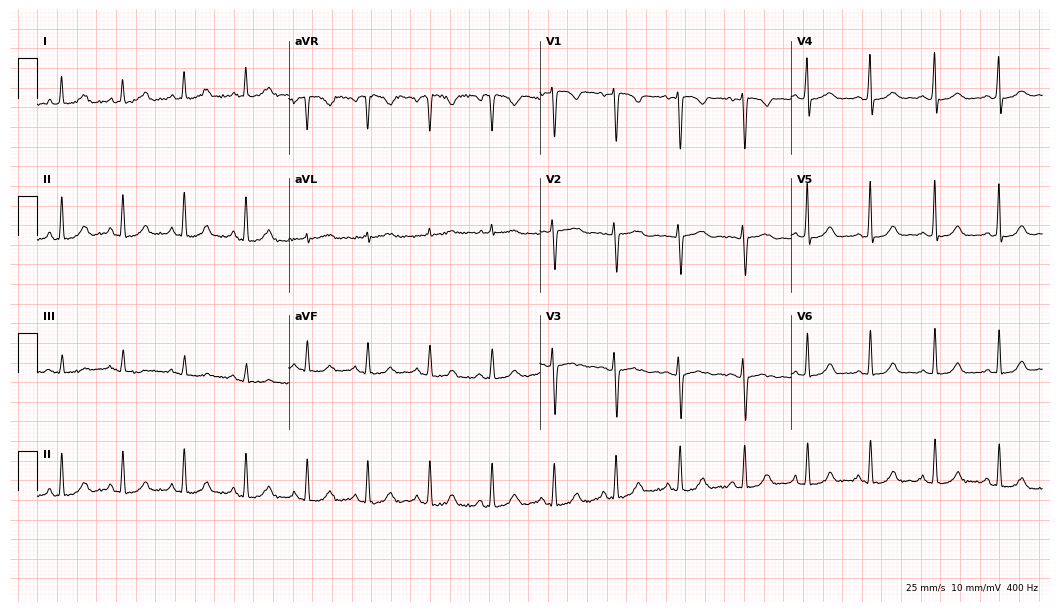
12-lead ECG (10.2-second recording at 400 Hz) from a female patient, 41 years old. Labelled as a normal ECG.